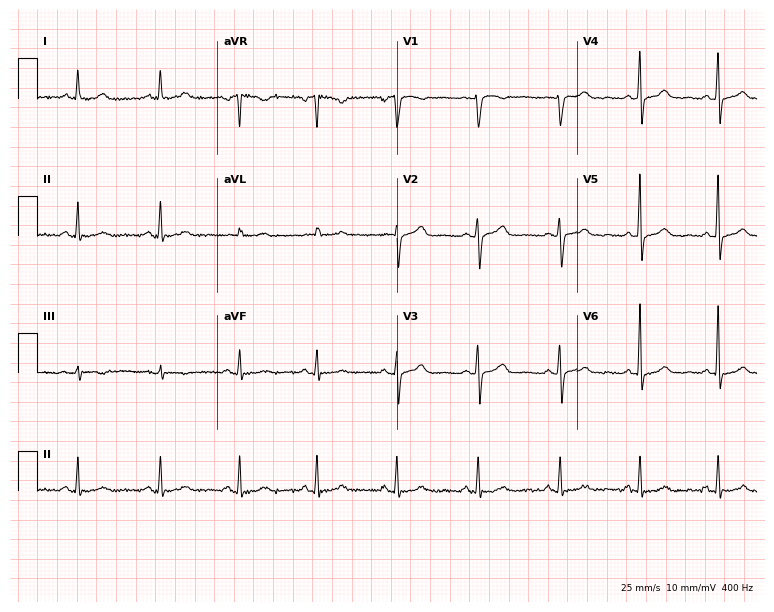
12-lead ECG (7.3-second recording at 400 Hz) from a woman, 51 years old. Screened for six findings — first-degree AV block, right bundle branch block (RBBB), left bundle branch block (LBBB), sinus bradycardia, atrial fibrillation (AF), sinus tachycardia — none is recorded. Findings outside these six are not listed.